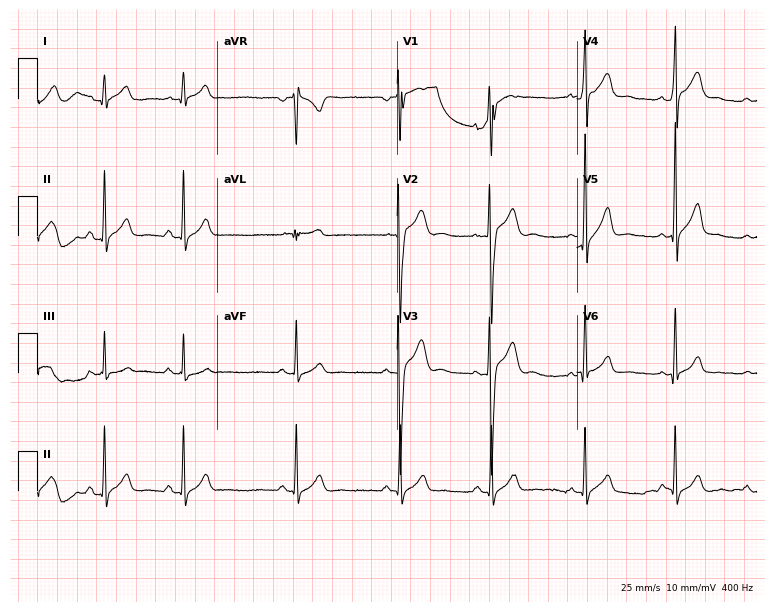
ECG — a male, 24 years old. Labelled as a normal ECG.